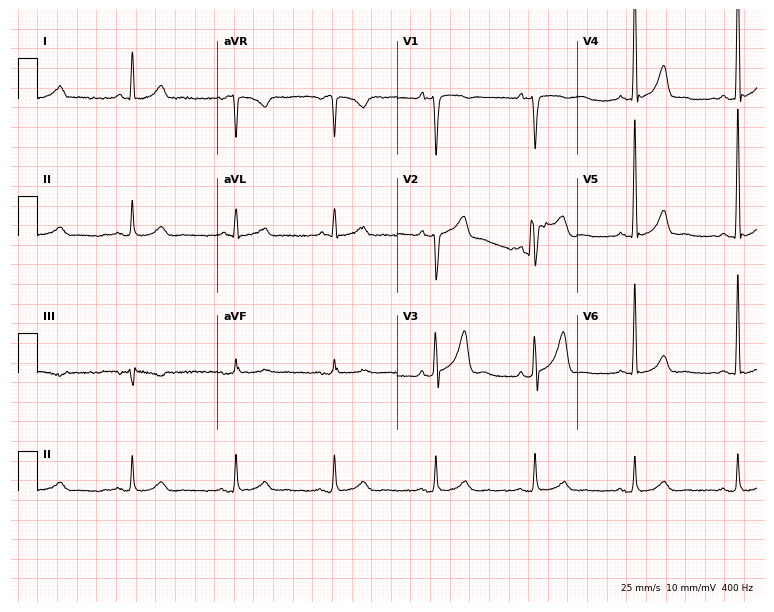
12-lead ECG from a 61-year-old male patient. Screened for six findings — first-degree AV block, right bundle branch block, left bundle branch block, sinus bradycardia, atrial fibrillation, sinus tachycardia — none is recorded. Only these six findings were labelled.